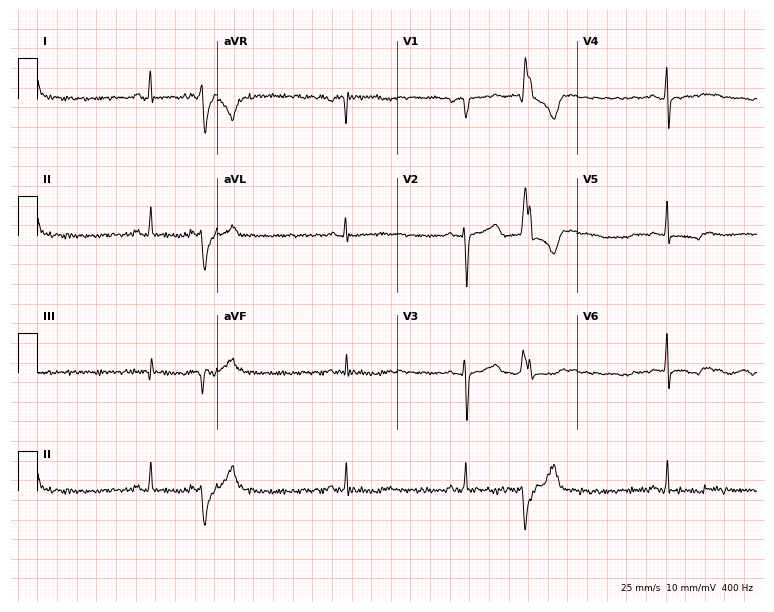
Resting 12-lead electrocardiogram. Patient: a 39-year-old female. None of these six findings is recorded: first-degree AV block, right bundle branch block, left bundle branch block, sinus bradycardia, atrial fibrillation, sinus tachycardia.